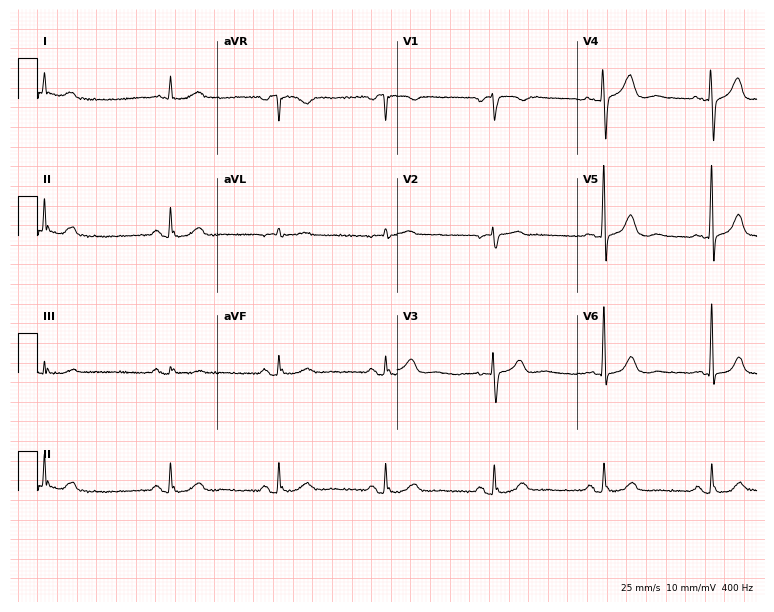
ECG (7.3-second recording at 400 Hz) — a woman, 78 years old. Labelled as a normal ECG.